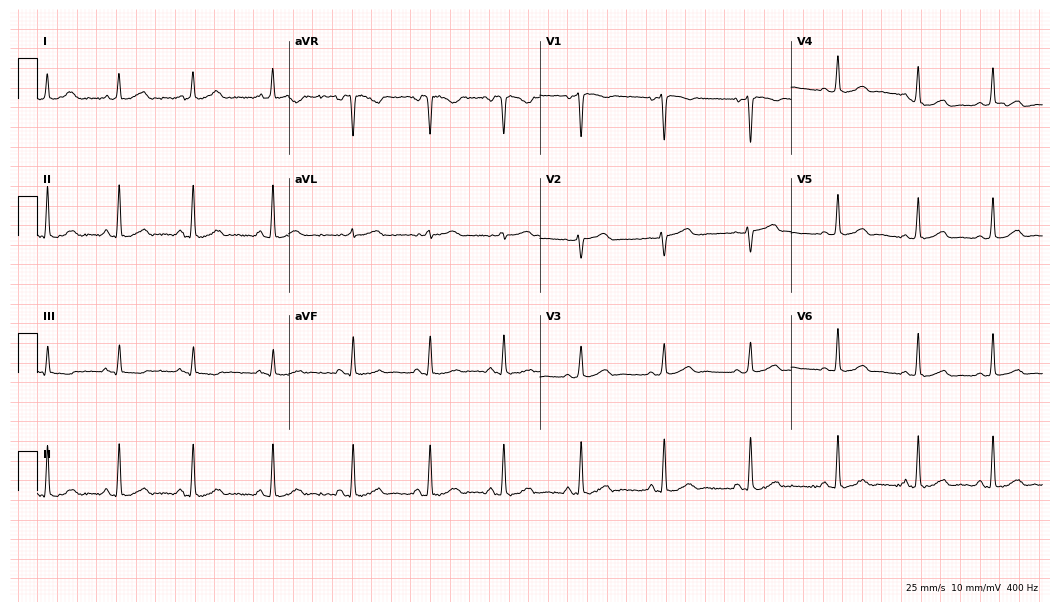
Electrocardiogram (10.2-second recording at 400 Hz), a 31-year-old female patient. Overall reading on record: normal ECG.